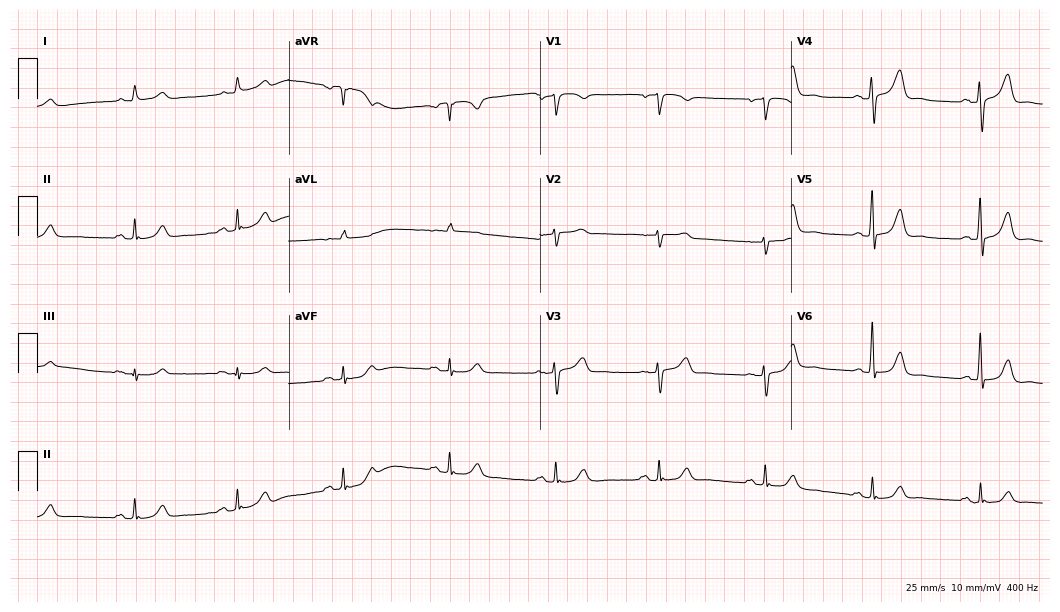
Resting 12-lead electrocardiogram. Patient: a 62-year-old male. Read as a normal ECG.